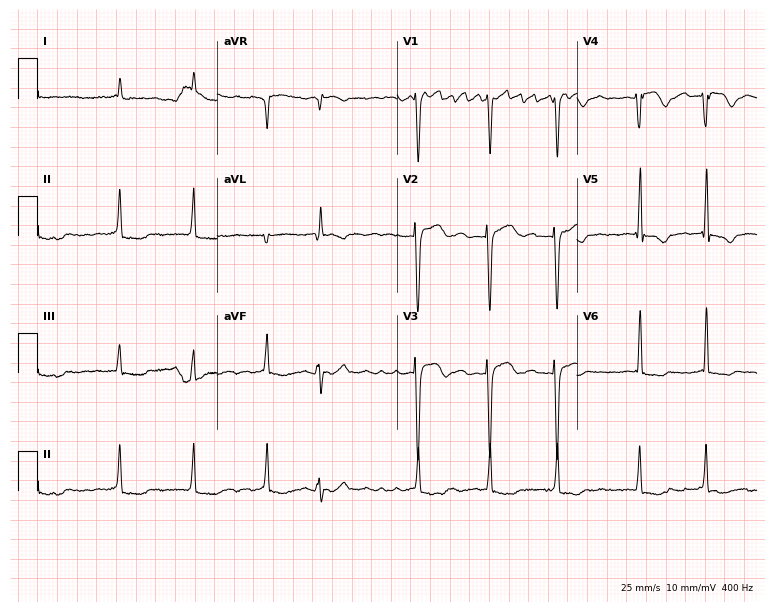
12-lead ECG from a woman, 81 years old (7.3-second recording at 400 Hz). Shows atrial fibrillation (AF).